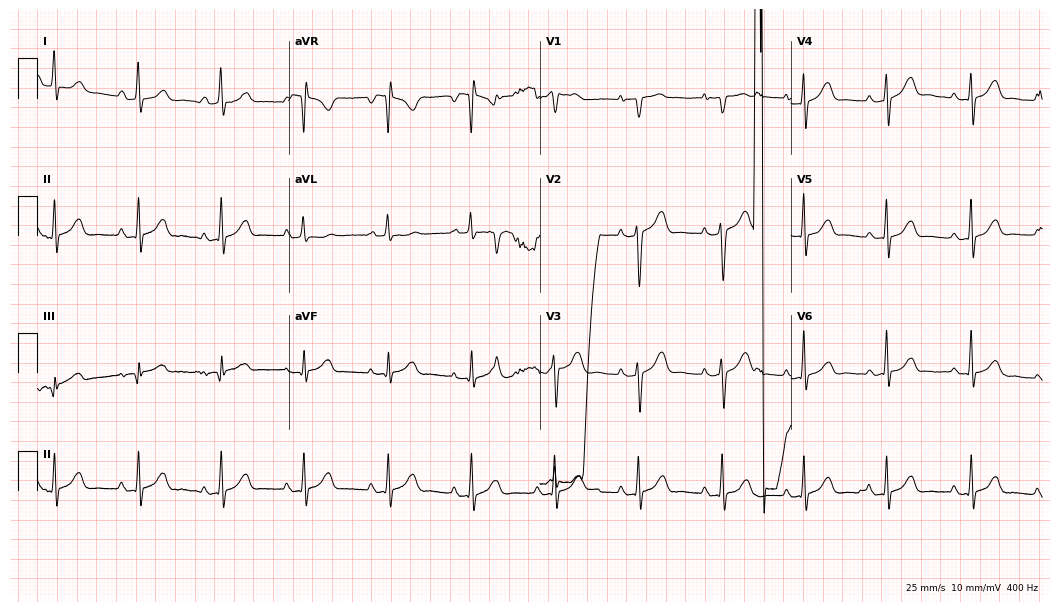
Resting 12-lead electrocardiogram (10.2-second recording at 400 Hz). Patient: a woman, 26 years old. None of these six findings is recorded: first-degree AV block, right bundle branch block (RBBB), left bundle branch block (LBBB), sinus bradycardia, atrial fibrillation (AF), sinus tachycardia. Other findings, if any, are not listed.